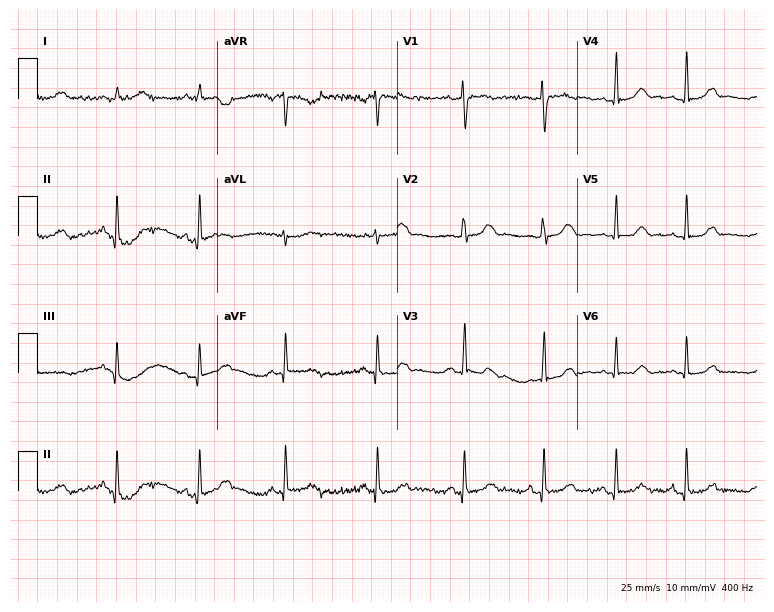
12-lead ECG from a 24-year-old female (7.3-second recording at 400 Hz). No first-degree AV block, right bundle branch block (RBBB), left bundle branch block (LBBB), sinus bradycardia, atrial fibrillation (AF) or sinus tachycardia recorded for this tracing.